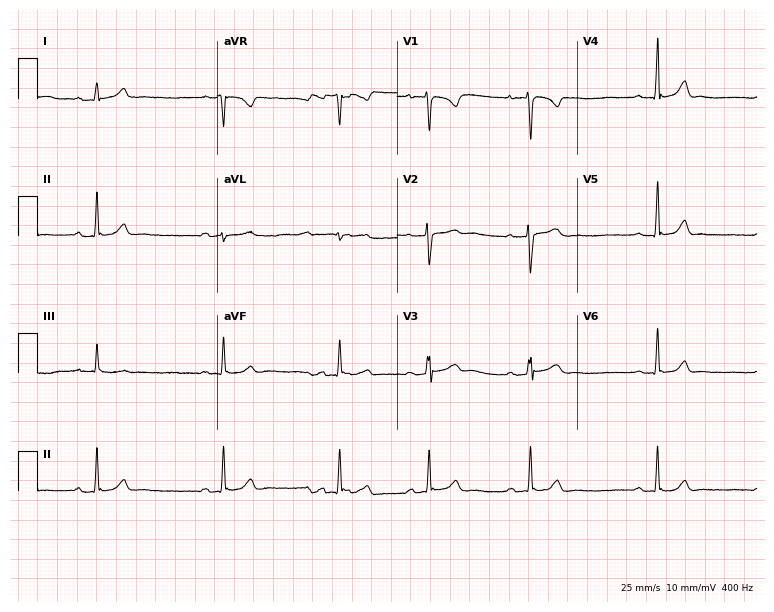
ECG (7.3-second recording at 400 Hz) — a female, 21 years old. Screened for six findings — first-degree AV block, right bundle branch block, left bundle branch block, sinus bradycardia, atrial fibrillation, sinus tachycardia — none is recorded. Only these six findings were labelled.